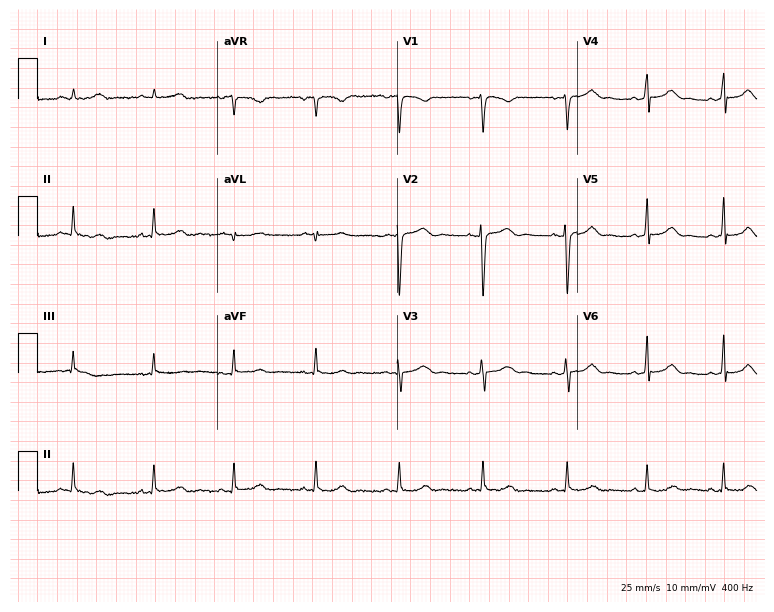
12-lead ECG (7.3-second recording at 400 Hz) from a woman, 32 years old. Labelled as a normal ECG.